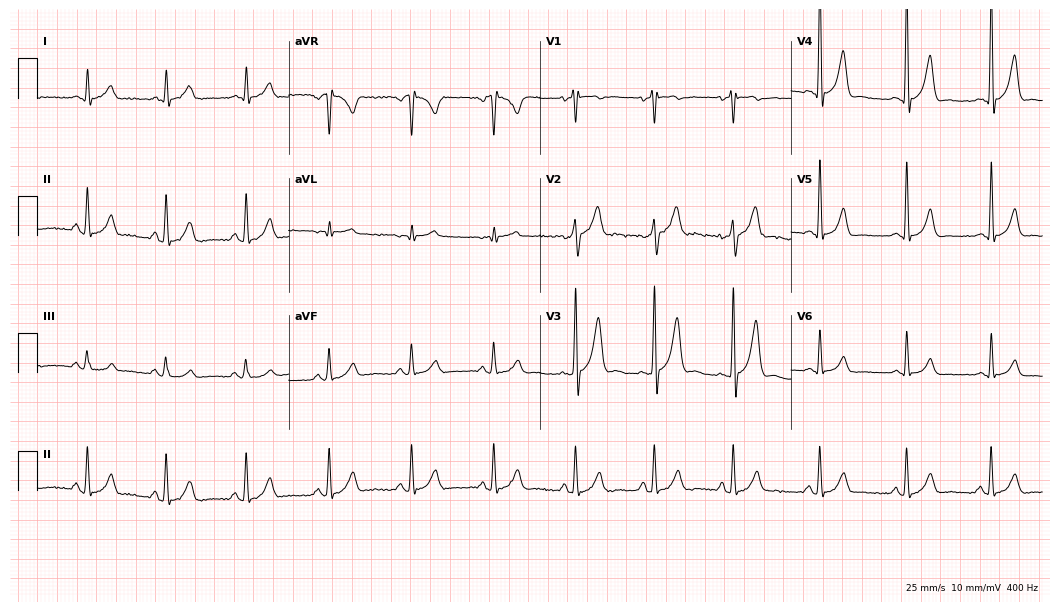
12-lead ECG from a man, 52 years old. Labelled as a normal ECG.